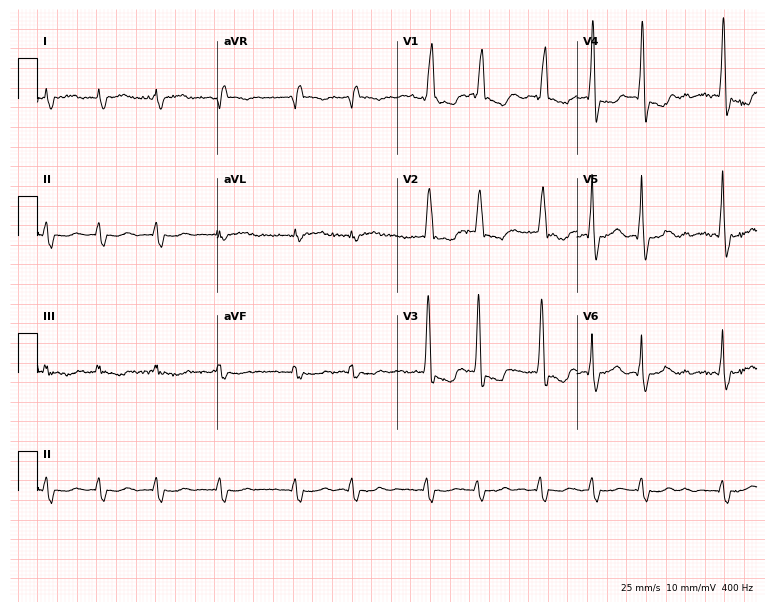
Resting 12-lead electrocardiogram. Patient: a man, 66 years old. None of these six findings is recorded: first-degree AV block, right bundle branch block, left bundle branch block, sinus bradycardia, atrial fibrillation, sinus tachycardia. Other findings, if any, are not listed.